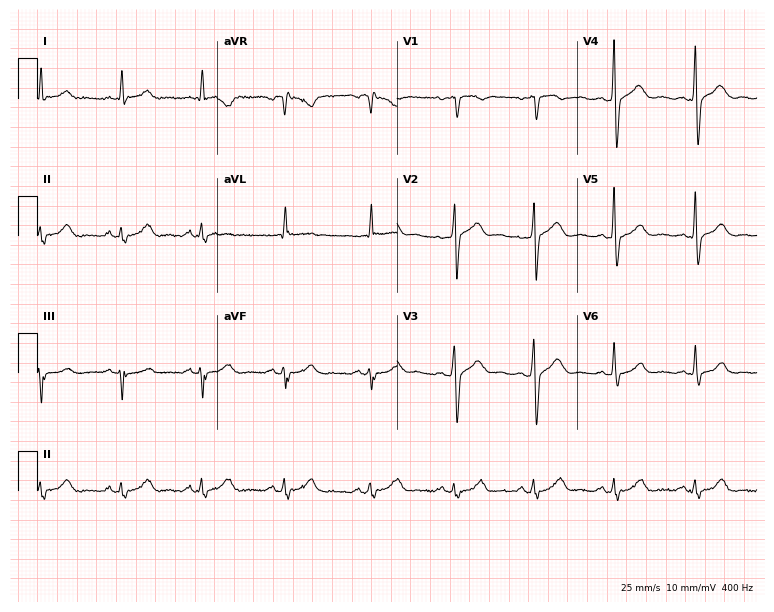
ECG — a male patient, 52 years old. Labelled as a normal ECG.